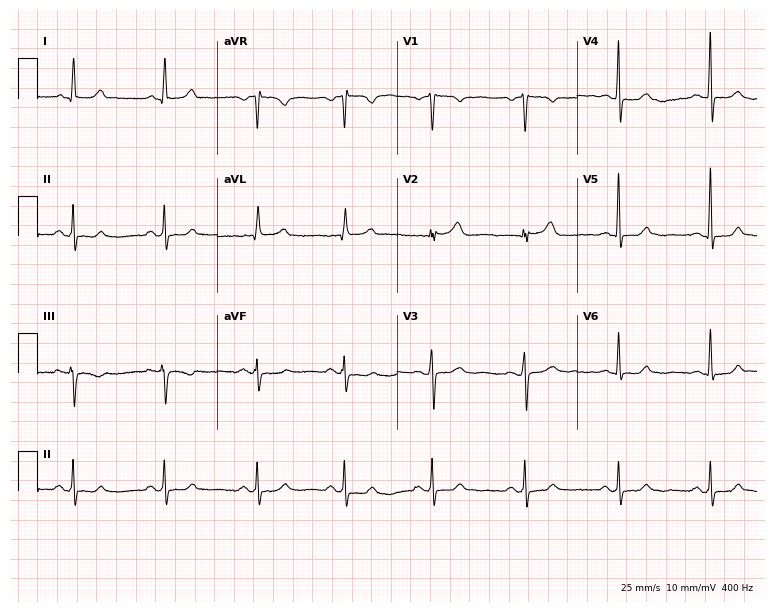
12-lead ECG from a 55-year-old woman. Recorded interpretation: within normal limits.